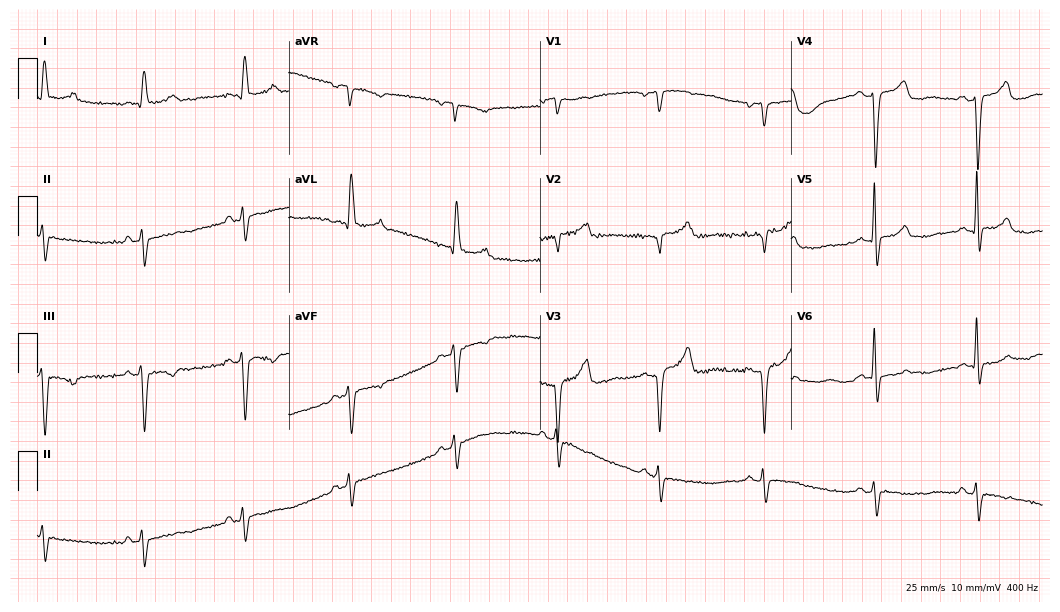
12-lead ECG (10.2-second recording at 400 Hz) from a man, 83 years old. Screened for six findings — first-degree AV block, right bundle branch block (RBBB), left bundle branch block (LBBB), sinus bradycardia, atrial fibrillation (AF), sinus tachycardia — none is recorded. Findings outside these six are not listed.